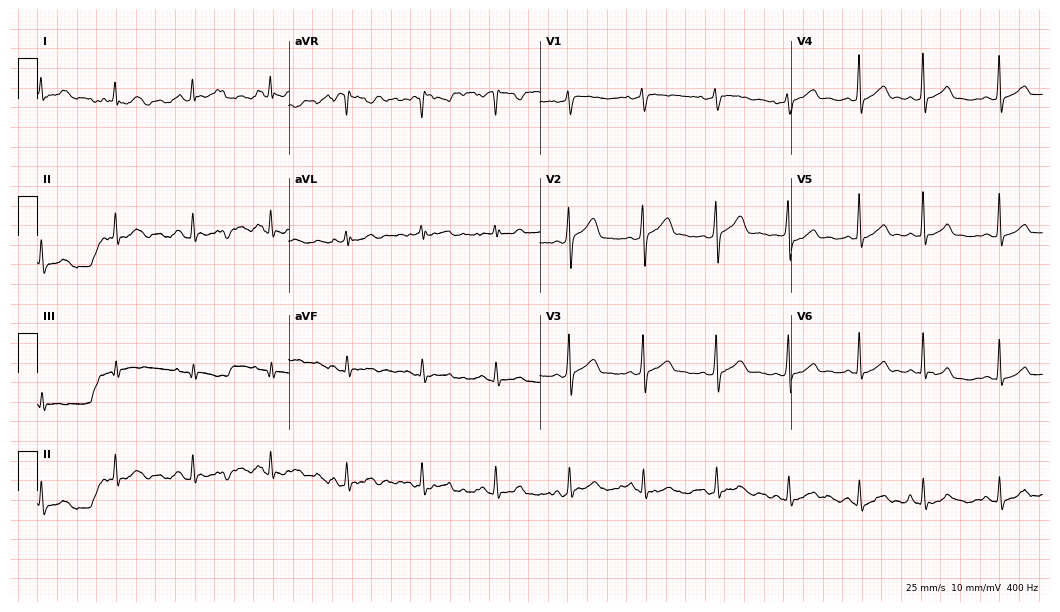
Resting 12-lead electrocardiogram. Patient: a male, 41 years old. None of these six findings is recorded: first-degree AV block, right bundle branch block, left bundle branch block, sinus bradycardia, atrial fibrillation, sinus tachycardia.